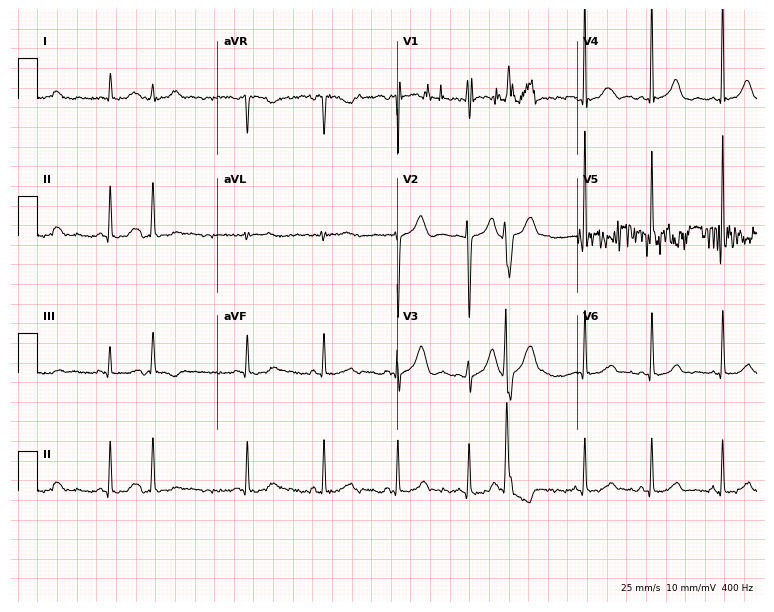
Electrocardiogram (7.3-second recording at 400 Hz), a woman, 39 years old. Of the six screened findings (first-degree AV block, right bundle branch block, left bundle branch block, sinus bradycardia, atrial fibrillation, sinus tachycardia), none is recorded.